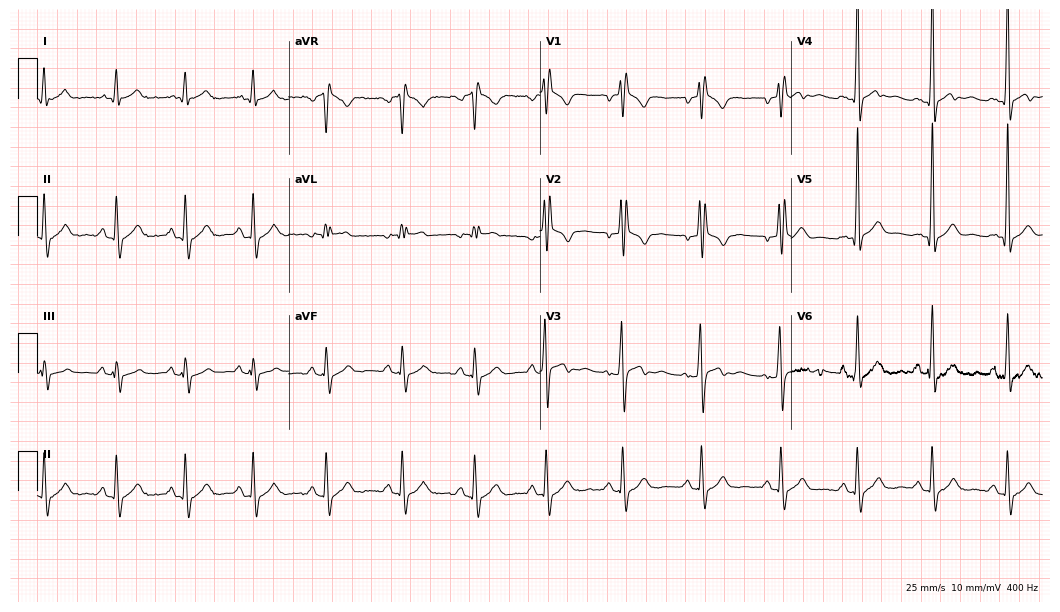
ECG (10.2-second recording at 400 Hz) — a 29-year-old man. Screened for six findings — first-degree AV block, right bundle branch block (RBBB), left bundle branch block (LBBB), sinus bradycardia, atrial fibrillation (AF), sinus tachycardia — none is recorded. Findings outside these six are not listed.